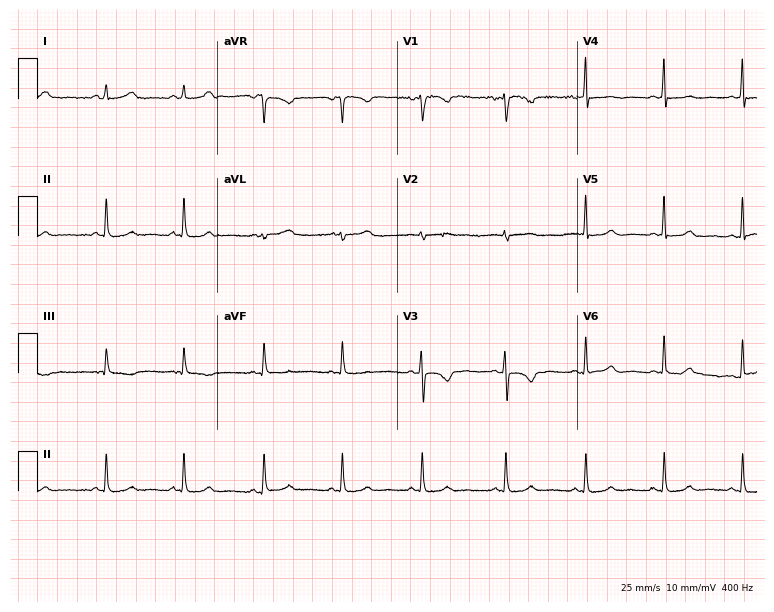
Resting 12-lead electrocardiogram. Patient: a woman, 22 years old. None of these six findings is recorded: first-degree AV block, right bundle branch block, left bundle branch block, sinus bradycardia, atrial fibrillation, sinus tachycardia.